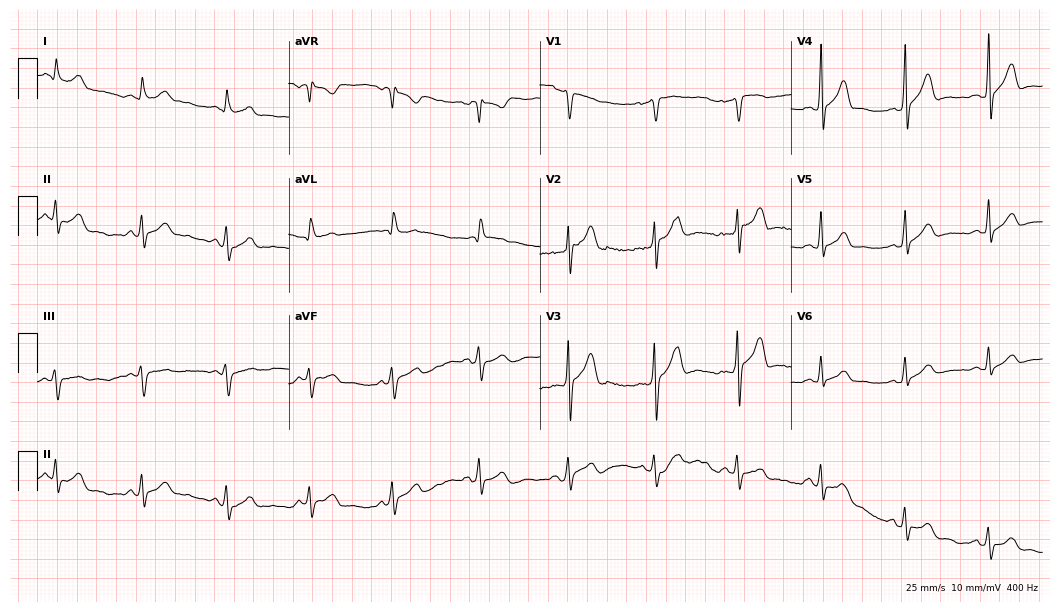
Electrocardiogram, a man, 41 years old. Overall reading on record: normal ECG.